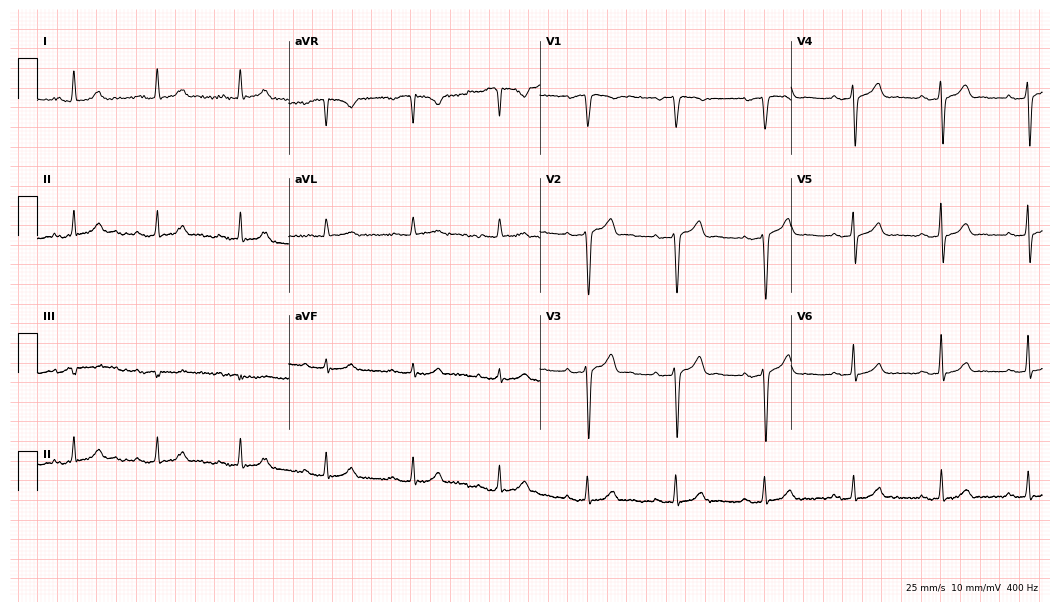
12-lead ECG from a 54-year-old male patient (10.2-second recording at 400 Hz). No first-degree AV block, right bundle branch block, left bundle branch block, sinus bradycardia, atrial fibrillation or sinus tachycardia recorded for this tracing.